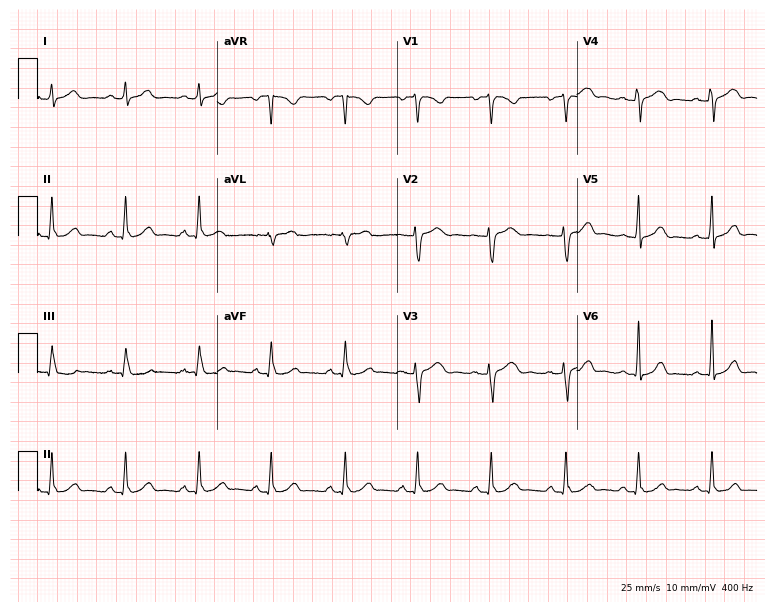
12-lead ECG from a 23-year-old female (7.3-second recording at 400 Hz). Recorded interpretation: within normal limits.